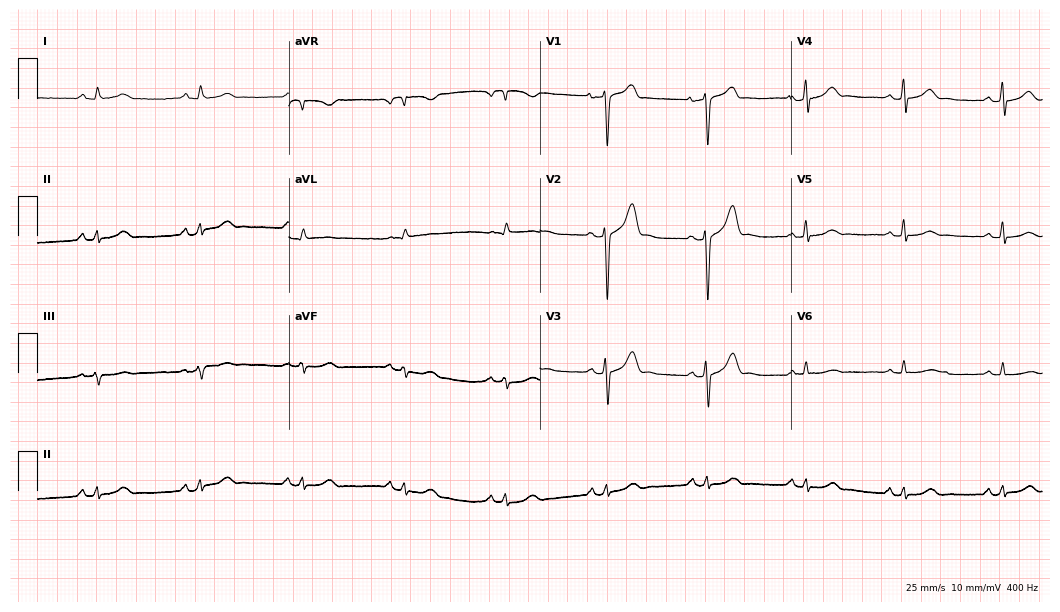
ECG — a male patient, 64 years old. Labelled as a normal ECG.